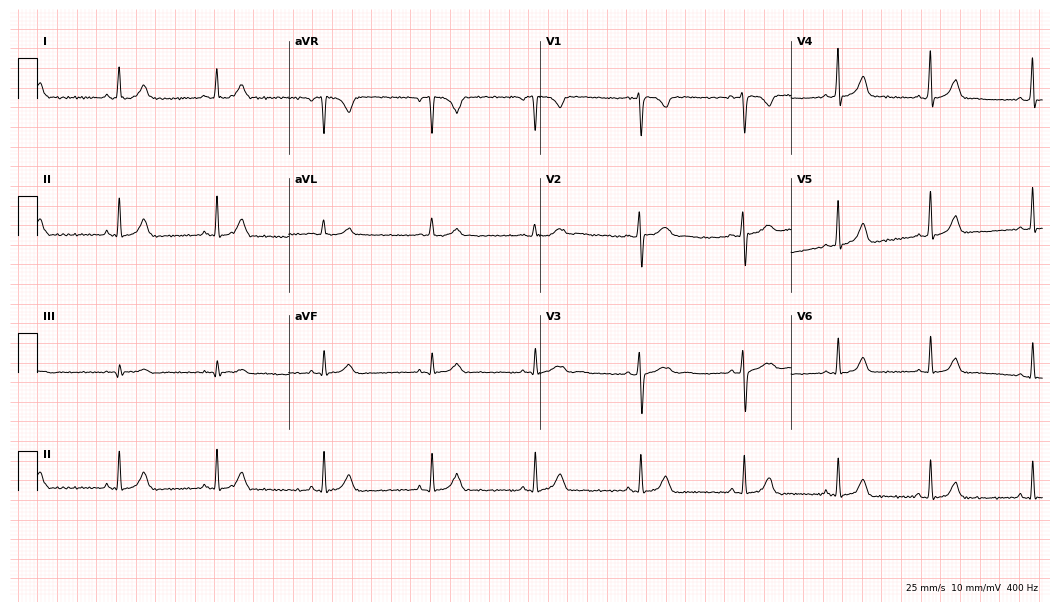
Electrocardiogram, a 29-year-old female patient. Overall reading on record: normal ECG.